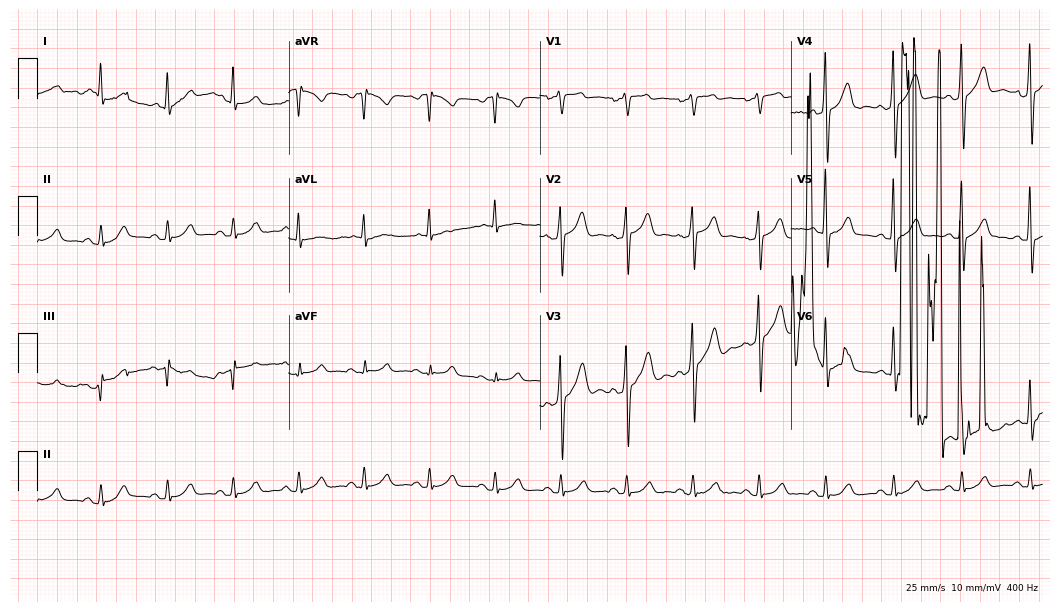
Resting 12-lead electrocardiogram. Patient: a man, 50 years old. None of these six findings is recorded: first-degree AV block, right bundle branch block, left bundle branch block, sinus bradycardia, atrial fibrillation, sinus tachycardia. Findings outside these six are not listed.